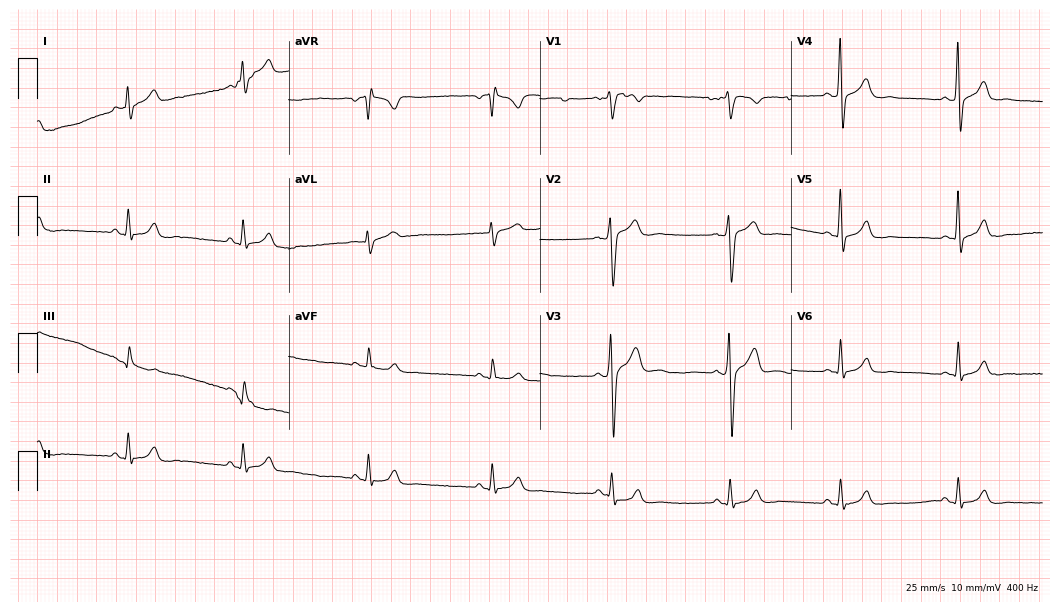
Resting 12-lead electrocardiogram (10.2-second recording at 400 Hz). Patient: a 29-year-old male. None of these six findings is recorded: first-degree AV block, right bundle branch block, left bundle branch block, sinus bradycardia, atrial fibrillation, sinus tachycardia. Only these six findings were labelled.